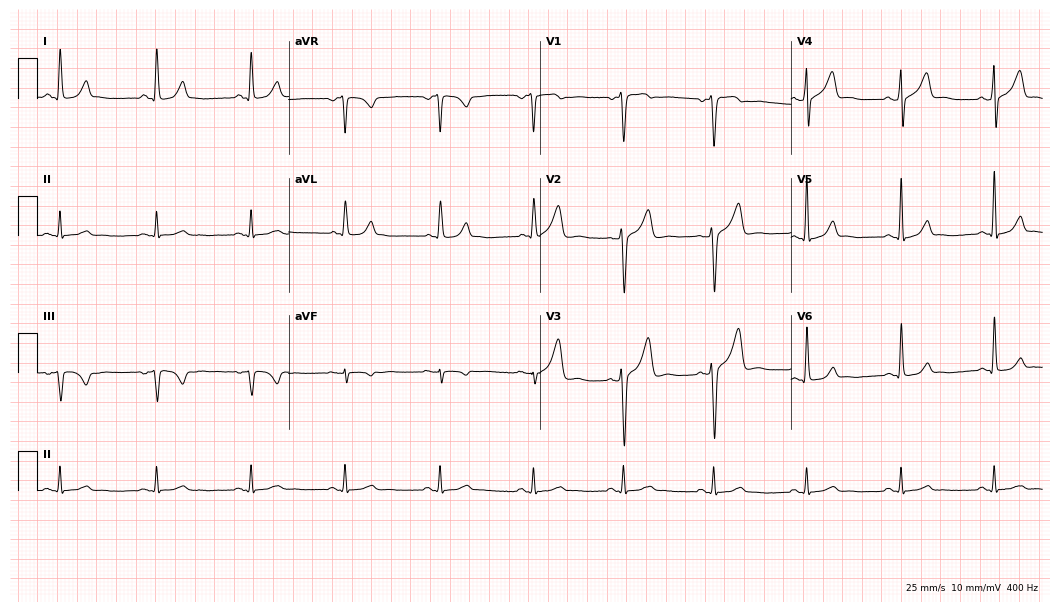
Standard 12-lead ECG recorded from a 47-year-old female. None of these six findings is recorded: first-degree AV block, right bundle branch block (RBBB), left bundle branch block (LBBB), sinus bradycardia, atrial fibrillation (AF), sinus tachycardia. Only these six findings were labelled.